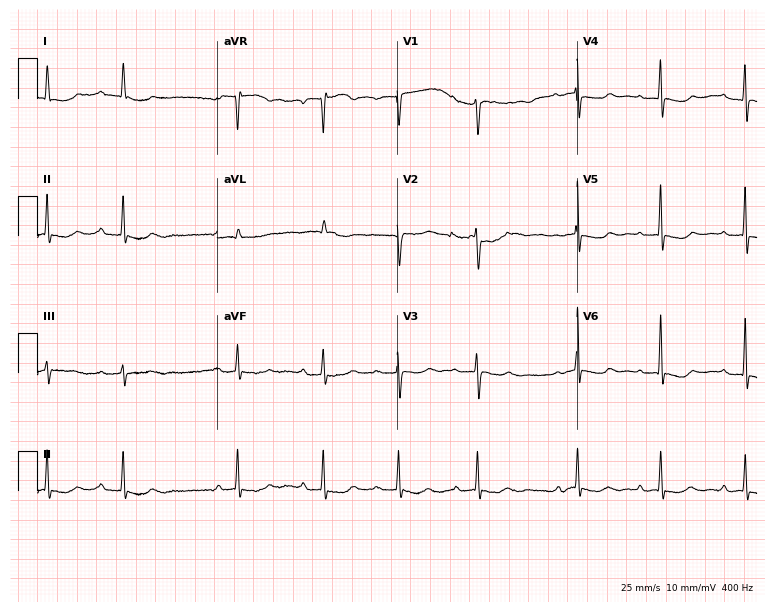
Standard 12-lead ECG recorded from a 79-year-old female patient (7.3-second recording at 400 Hz). The tracing shows first-degree AV block, atrial fibrillation (AF).